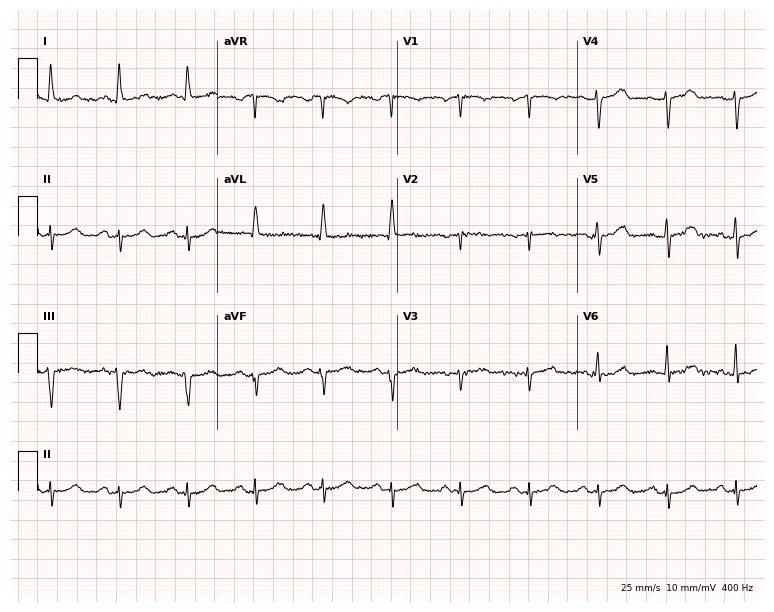
Electrocardiogram, a female, 68 years old. Of the six screened findings (first-degree AV block, right bundle branch block (RBBB), left bundle branch block (LBBB), sinus bradycardia, atrial fibrillation (AF), sinus tachycardia), none is recorded. Only these six findings were labelled.